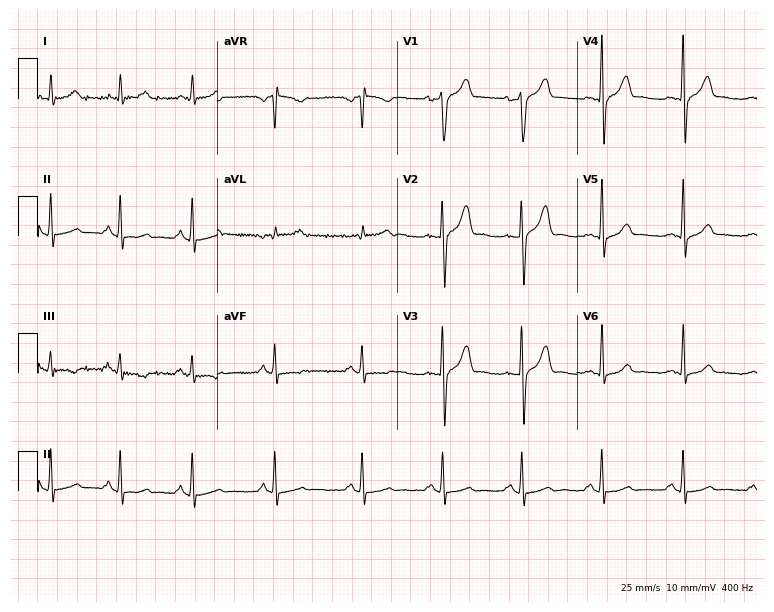
Electrocardiogram, a male, 46 years old. Of the six screened findings (first-degree AV block, right bundle branch block, left bundle branch block, sinus bradycardia, atrial fibrillation, sinus tachycardia), none is recorded.